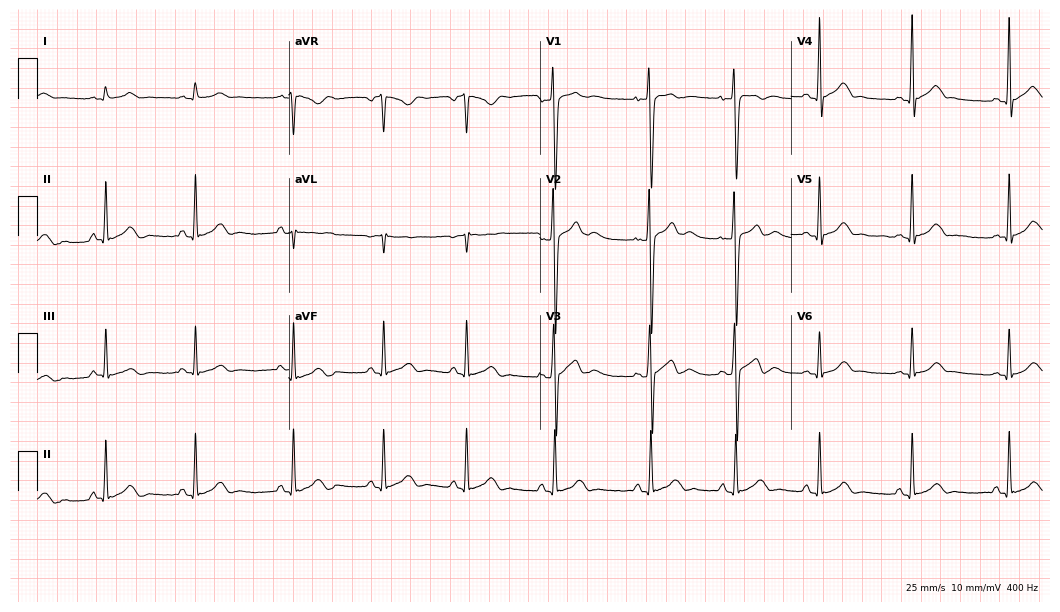
Resting 12-lead electrocardiogram. Patient: a male, 17 years old. Read as a normal ECG.